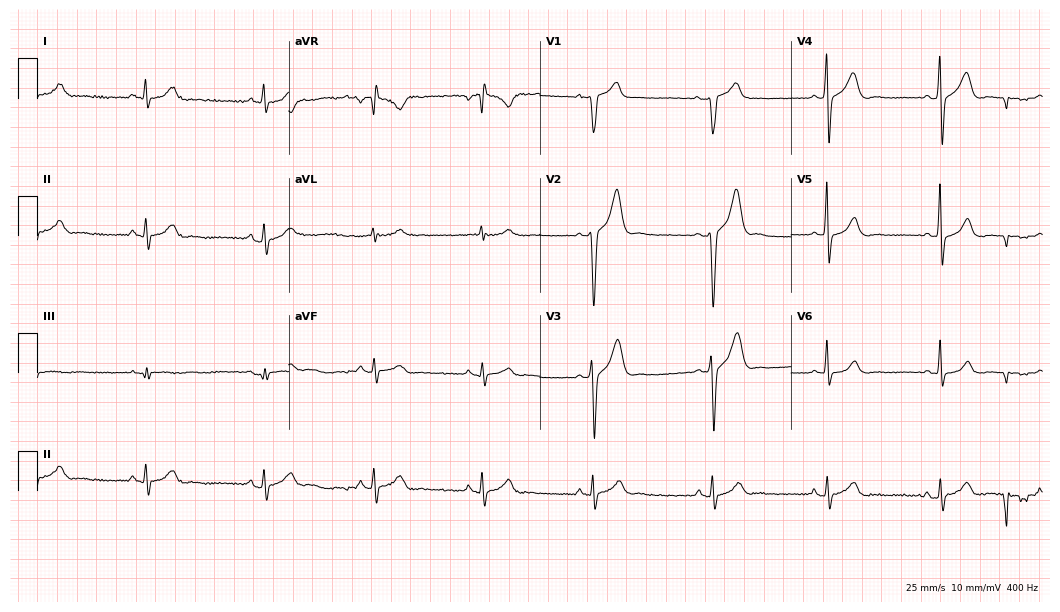
Electrocardiogram, a man, 45 years old. Overall reading on record: normal ECG.